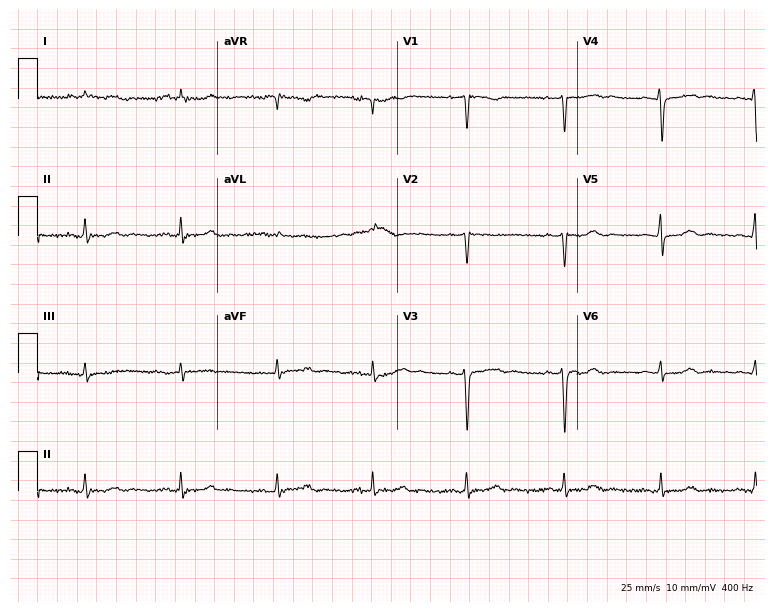
Resting 12-lead electrocardiogram. Patient: a woman, 48 years old. None of these six findings is recorded: first-degree AV block, right bundle branch block, left bundle branch block, sinus bradycardia, atrial fibrillation, sinus tachycardia.